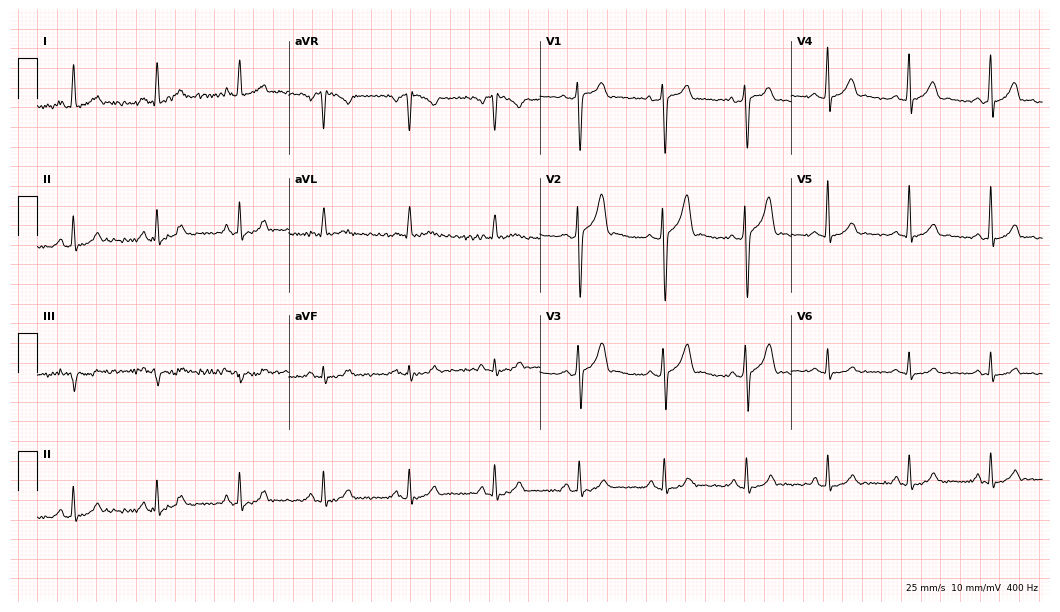
ECG (10.2-second recording at 400 Hz) — a 38-year-old man. Labelled as a normal ECG.